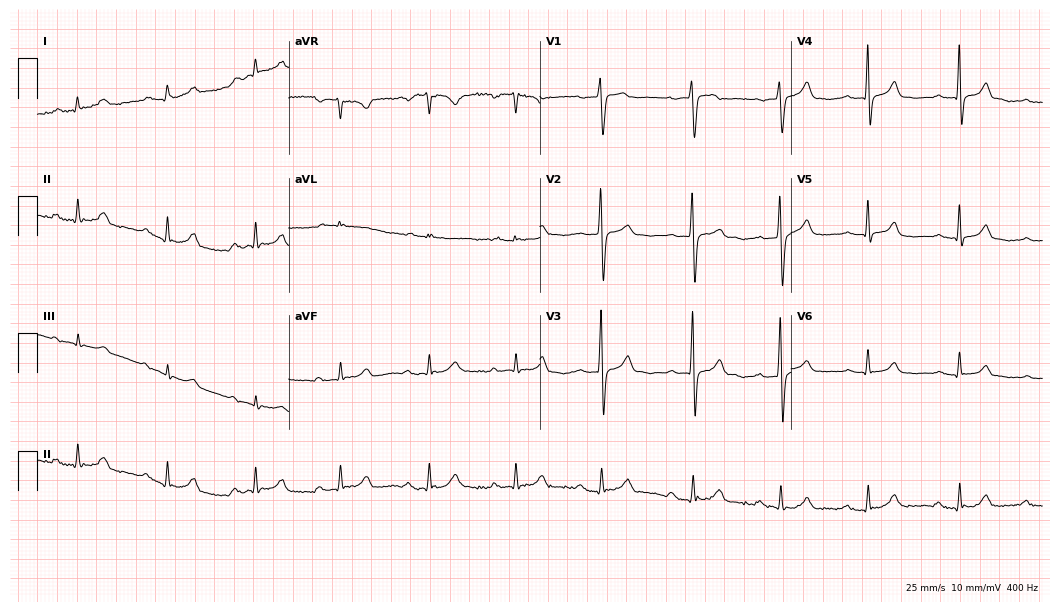
Electrocardiogram (10.2-second recording at 400 Hz), a male, 71 years old. Of the six screened findings (first-degree AV block, right bundle branch block, left bundle branch block, sinus bradycardia, atrial fibrillation, sinus tachycardia), none is recorded.